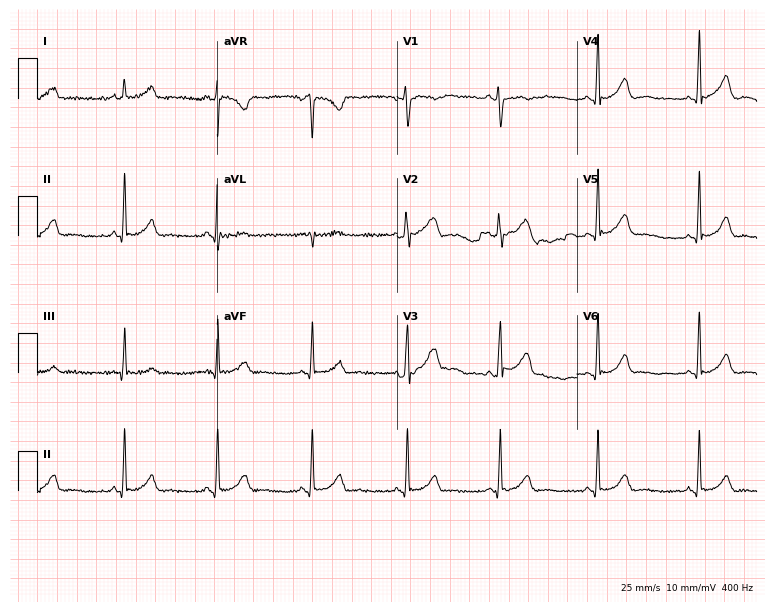
12-lead ECG from a 31-year-old woman (7.3-second recording at 400 Hz). Recorded interpretation: within normal limits.